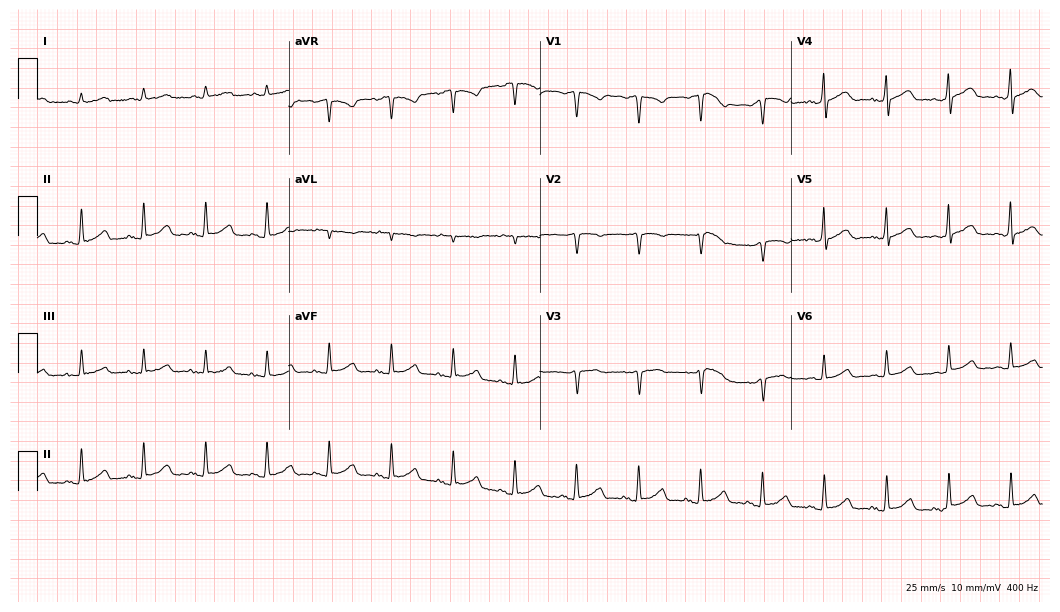
ECG (10.2-second recording at 400 Hz) — a 77-year-old man. Screened for six findings — first-degree AV block, right bundle branch block, left bundle branch block, sinus bradycardia, atrial fibrillation, sinus tachycardia — none is recorded. Only these six findings were labelled.